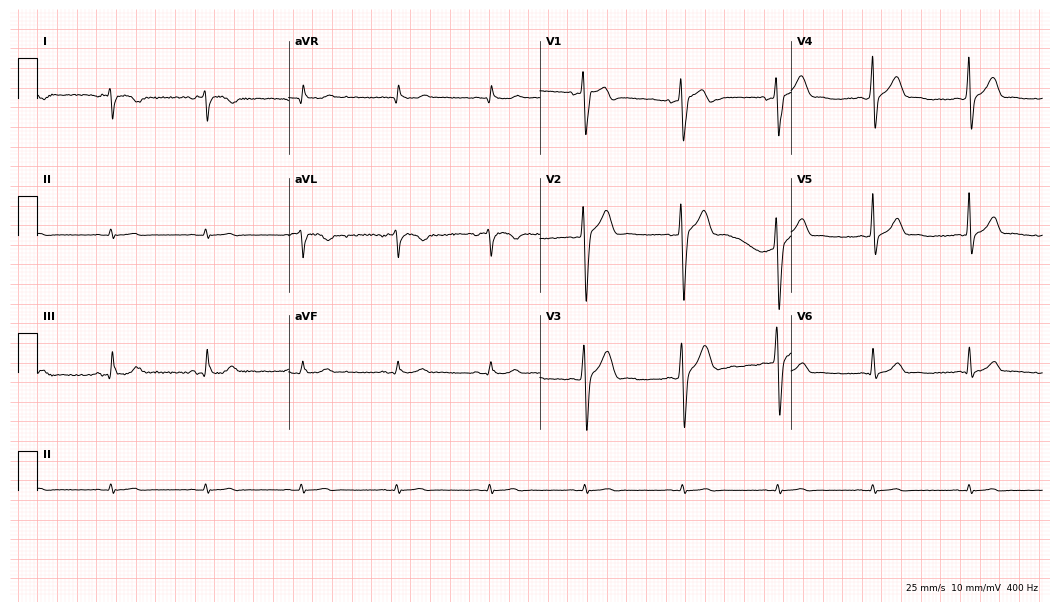
Standard 12-lead ECG recorded from a 37-year-old male patient. None of these six findings is recorded: first-degree AV block, right bundle branch block, left bundle branch block, sinus bradycardia, atrial fibrillation, sinus tachycardia. Only these six findings were labelled.